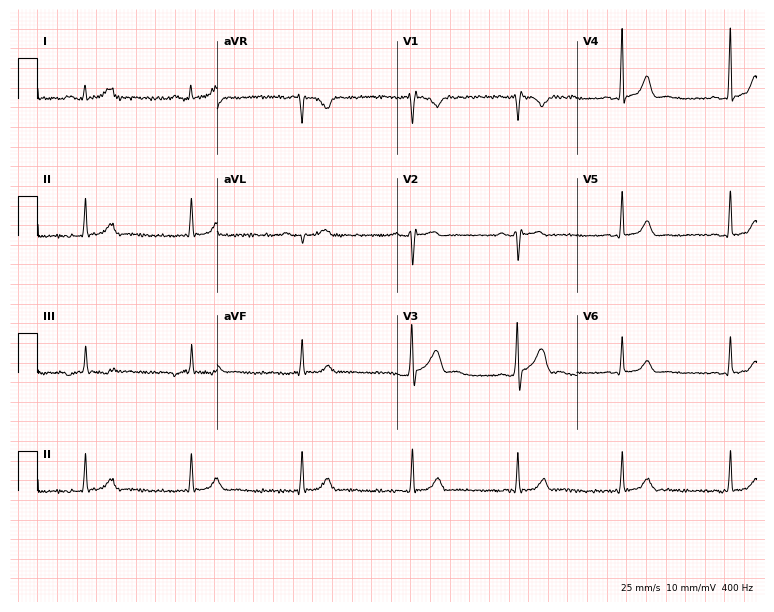
Resting 12-lead electrocardiogram. Patient: a 35-year-old man. Read as a normal ECG.